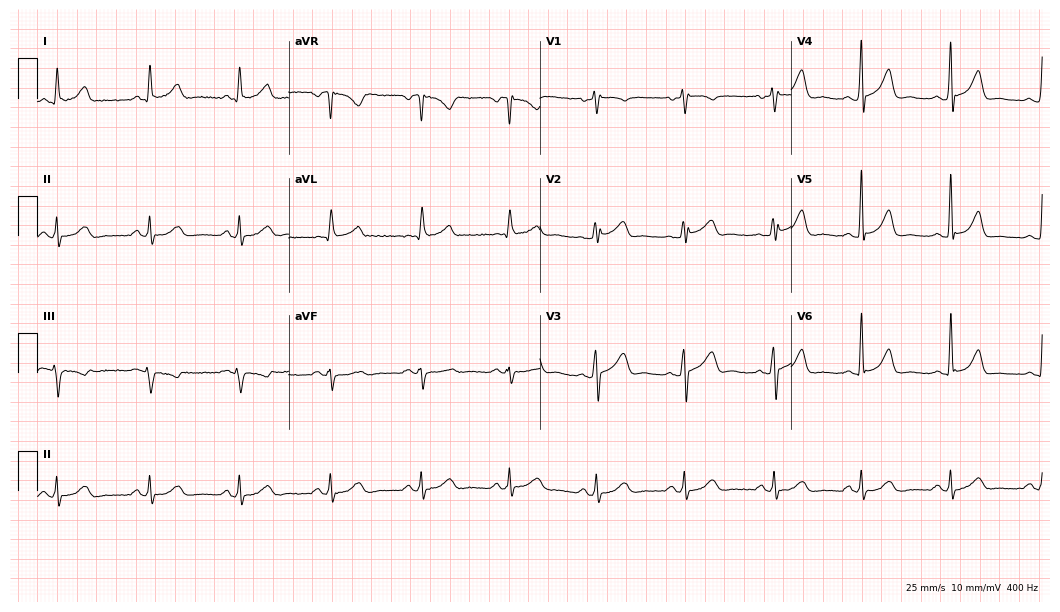
Electrocardiogram (10.2-second recording at 400 Hz), a female patient, 65 years old. Overall reading on record: normal ECG.